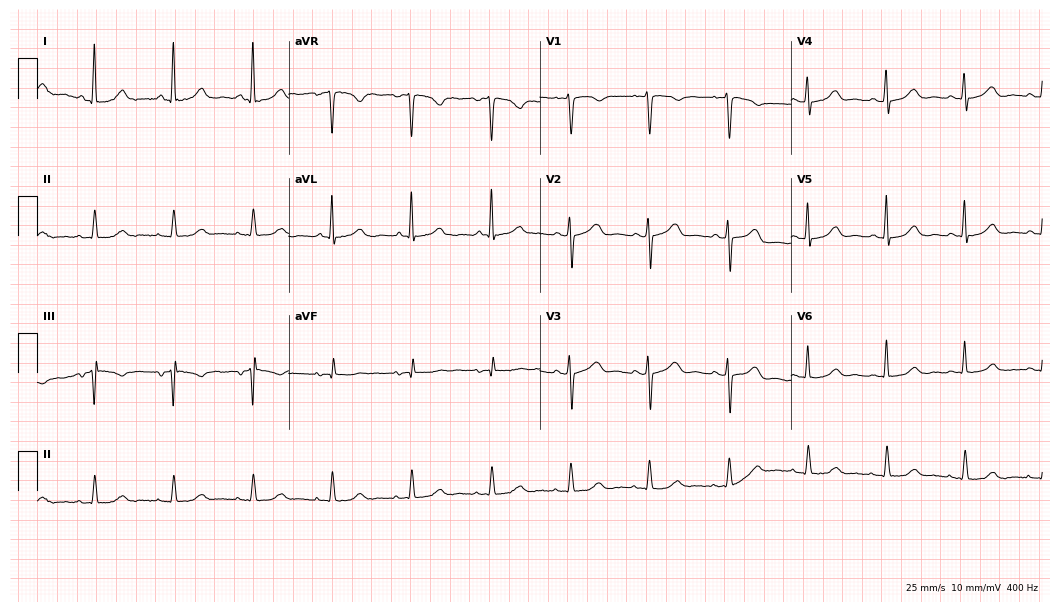
12-lead ECG from a woman, 57 years old (10.2-second recording at 400 Hz). No first-degree AV block, right bundle branch block, left bundle branch block, sinus bradycardia, atrial fibrillation or sinus tachycardia recorded for this tracing. Findings outside these six are not listed.